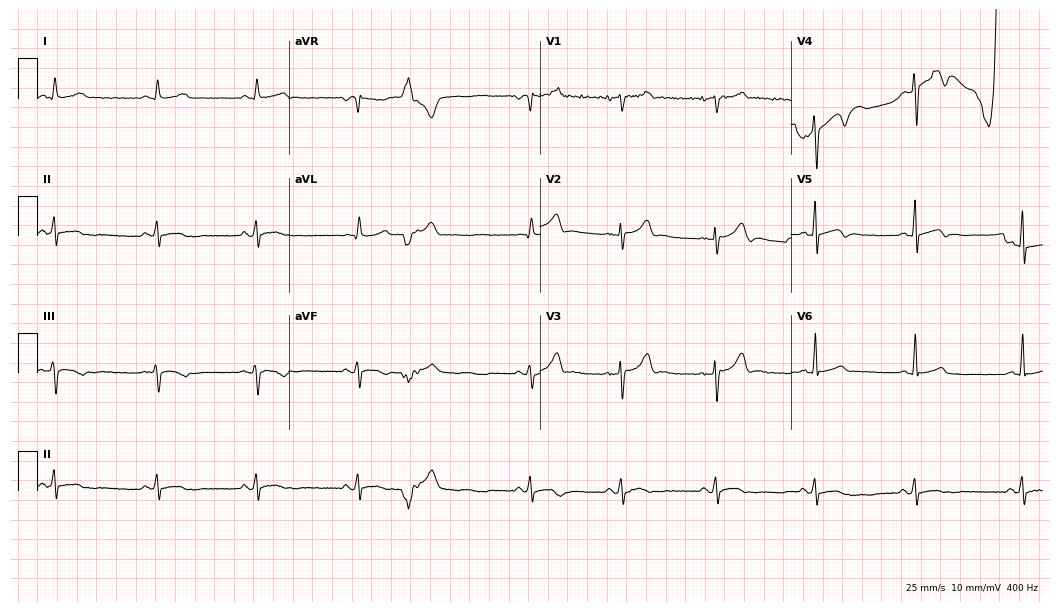
Standard 12-lead ECG recorded from a man, 41 years old. Read as a normal ECG.